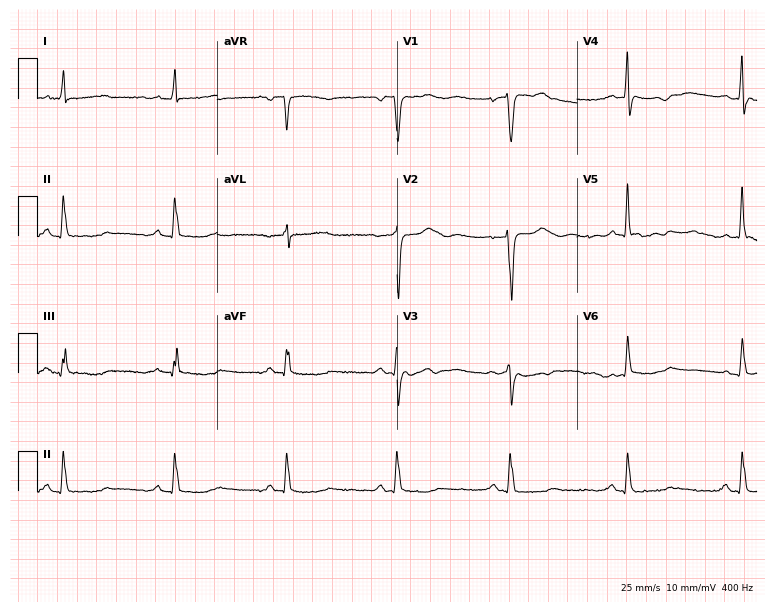
12-lead ECG from a 66-year-old woman (7.3-second recording at 400 Hz). Recorded interpretation: within normal limits.